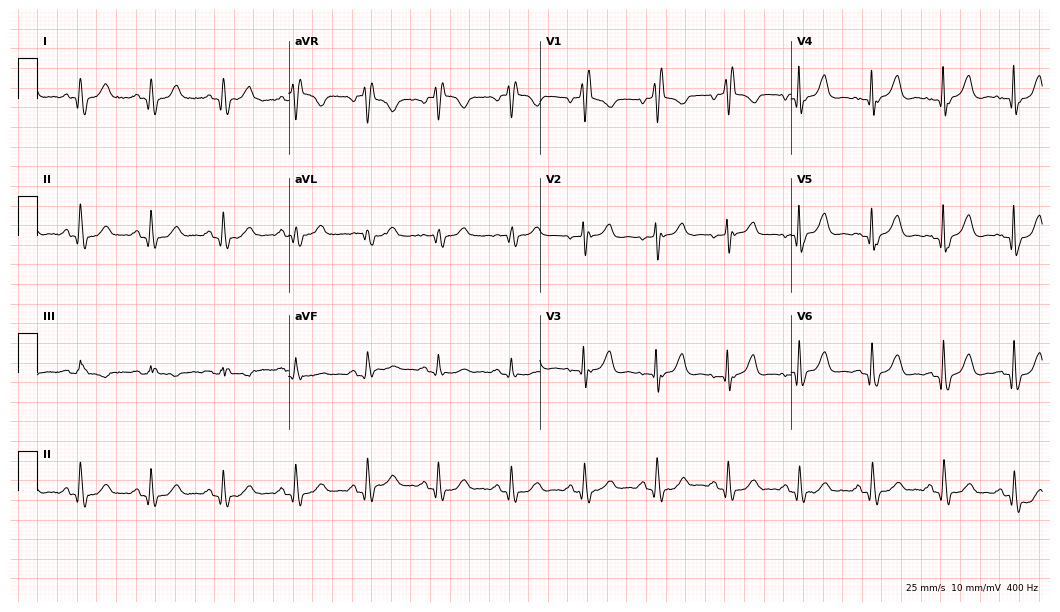
12-lead ECG from a female, 77 years old. Shows right bundle branch block (RBBB).